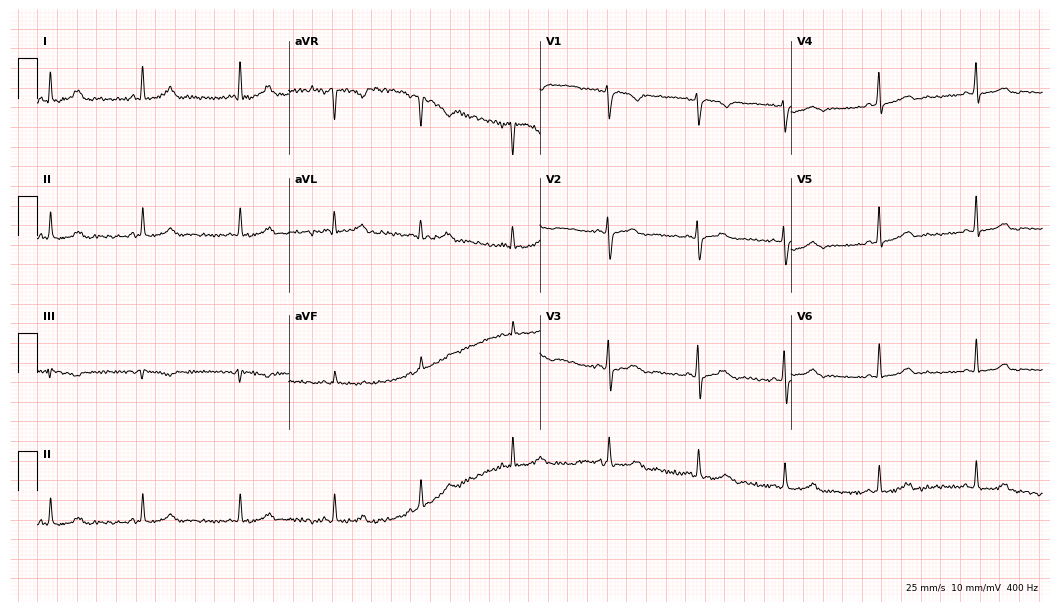
12-lead ECG from a woman, 30 years old (10.2-second recording at 400 Hz). No first-degree AV block, right bundle branch block (RBBB), left bundle branch block (LBBB), sinus bradycardia, atrial fibrillation (AF) or sinus tachycardia recorded for this tracing. Findings outside these six are not listed.